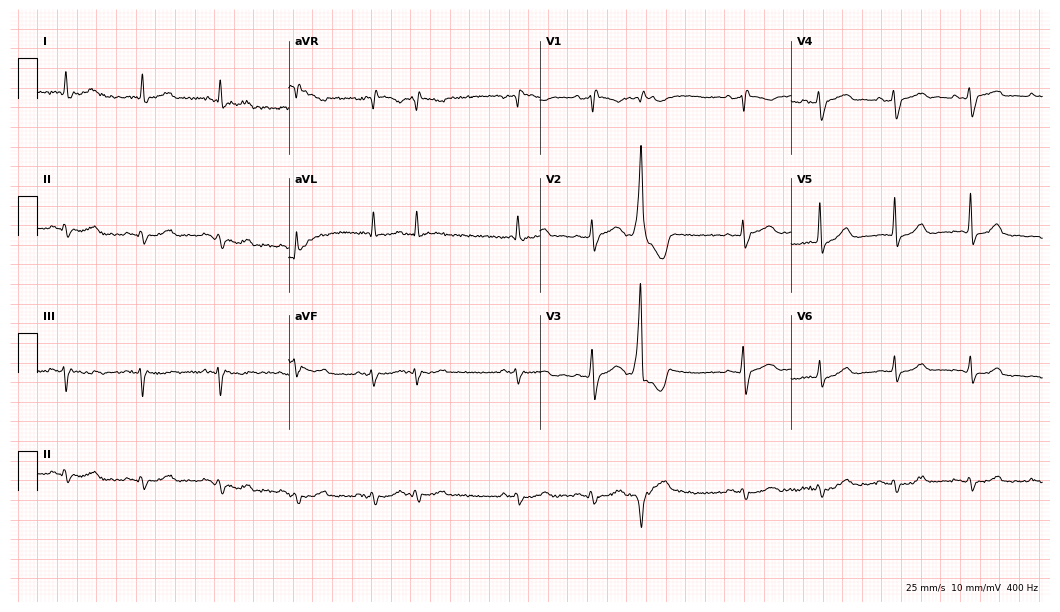
Standard 12-lead ECG recorded from an 84-year-old male (10.2-second recording at 400 Hz). None of these six findings is recorded: first-degree AV block, right bundle branch block, left bundle branch block, sinus bradycardia, atrial fibrillation, sinus tachycardia. Only these six findings were labelled.